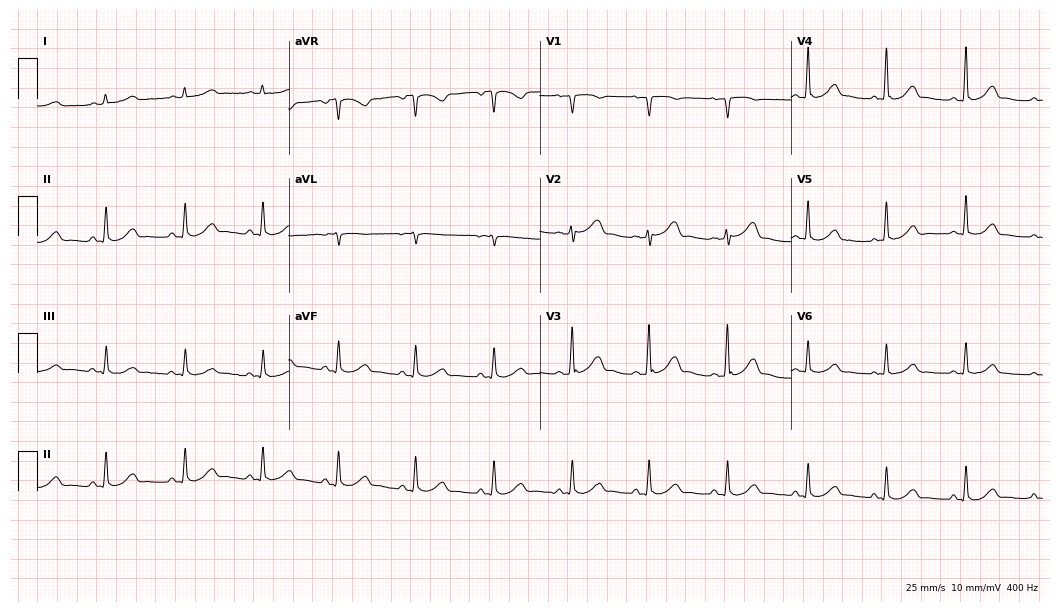
Electrocardiogram (10.2-second recording at 400 Hz), a 62-year-old female patient. Overall reading on record: normal ECG.